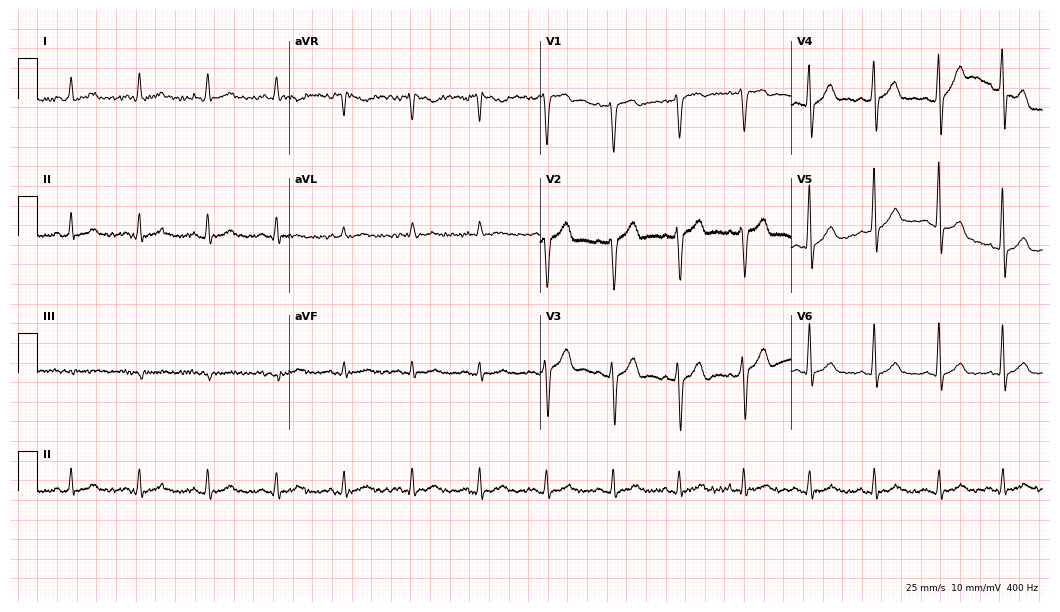
Resting 12-lead electrocardiogram (10.2-second recording at 400 Hz). Patient: a 54-year-old man. None of these six findings is recorded: first-degree AV block, right bundle branch block, left bundle branch block, sinus bradycardia, atrial fibrillation, sinus tachycardia. Findings outside these six are not listed.